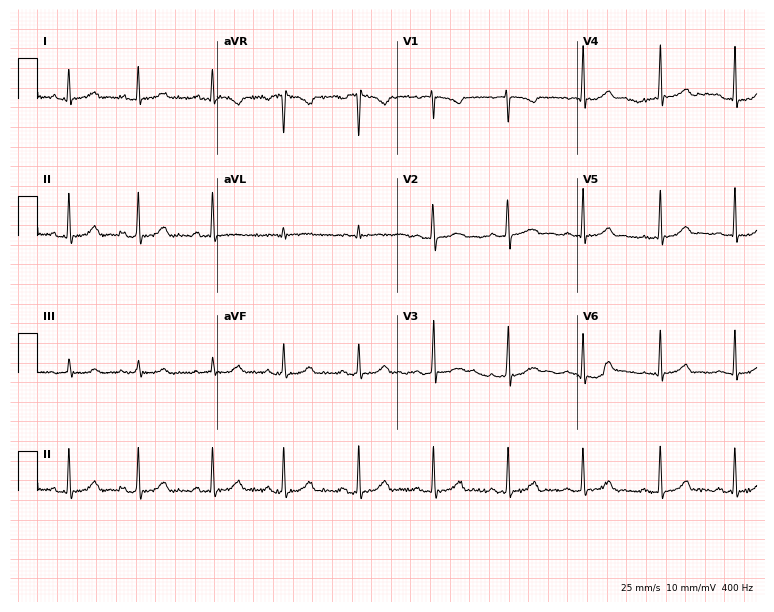
Standard 12-lead ECG recorded from a 20-year-old woman. Read as a normal ECG.